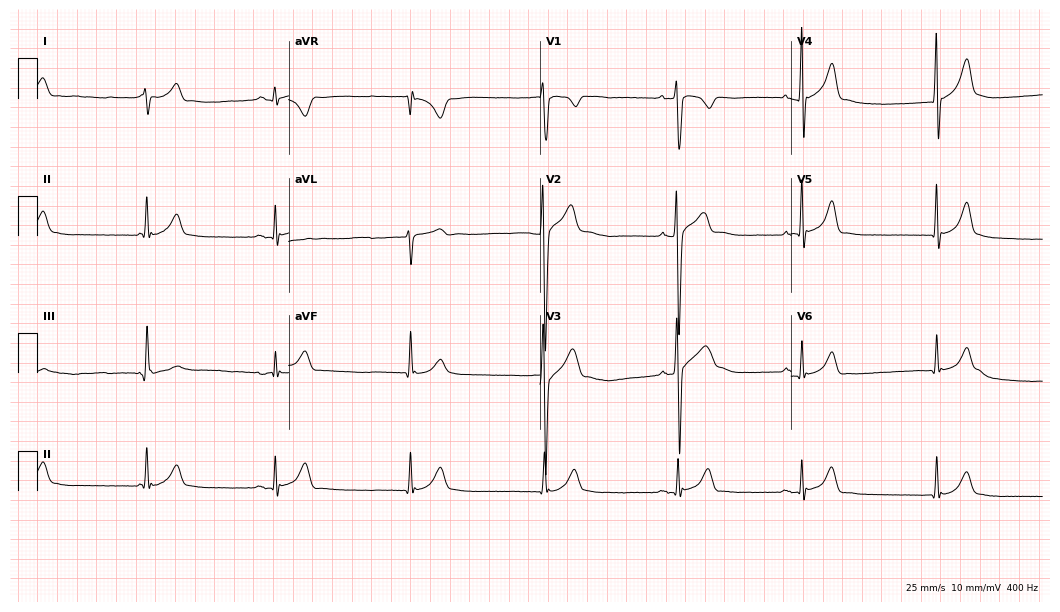
12-lead ECG from a man, 20 years old. Shows sinus bradycardia (a sinus rate of 50 beats per minute or less).